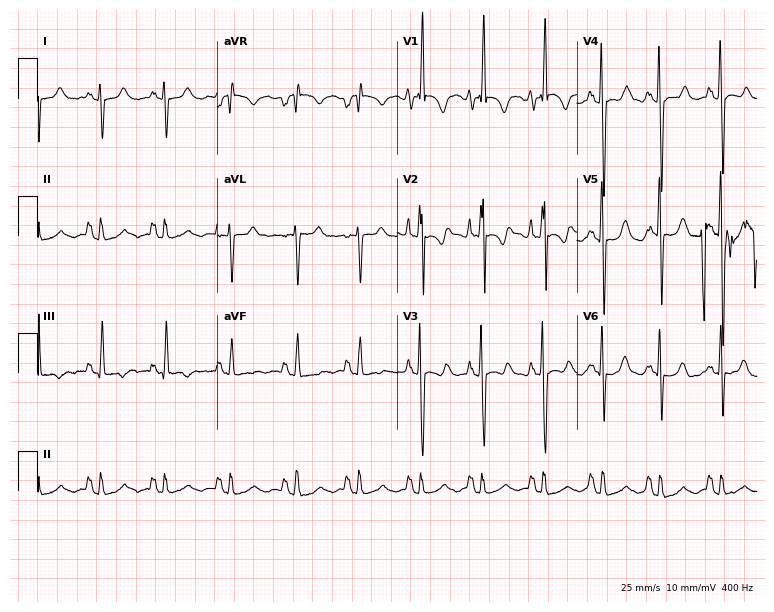
12-lead ECG from a 28-year-old man. Screened for six findings — first-degree AV block, right bundle branch block, left bundle branch block, sinus bradycardia, atrial fibrillation, sinus tachycardia — none is recorded.